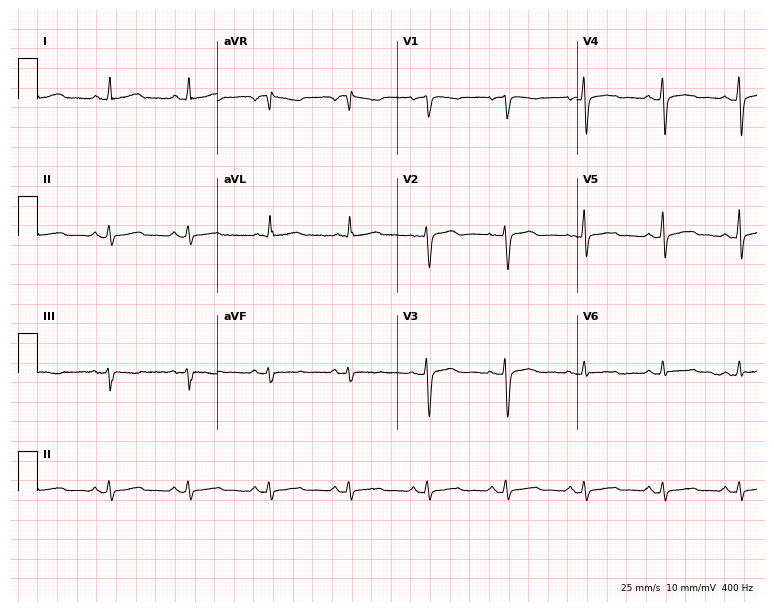
Resting 12-lead electrocardiogram (7.3-second recording at 400 Hz). Patient: a 33-year-old female. None of these six findings is recorded: first-degree AV block, right bundle branch block, left bundle branch block, sinus bradycardia, atrial fibrillation, sinus tachycardia. Other findings, if any, are not listed.